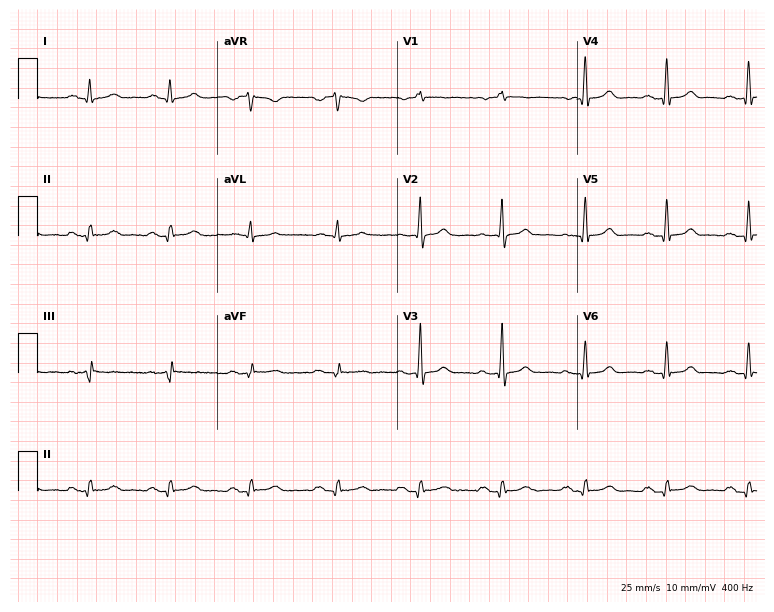
12-lead ECG (7.3-second recording at 400 Hz) from a male patient, 58 years old. Labelled as a normal ECG.